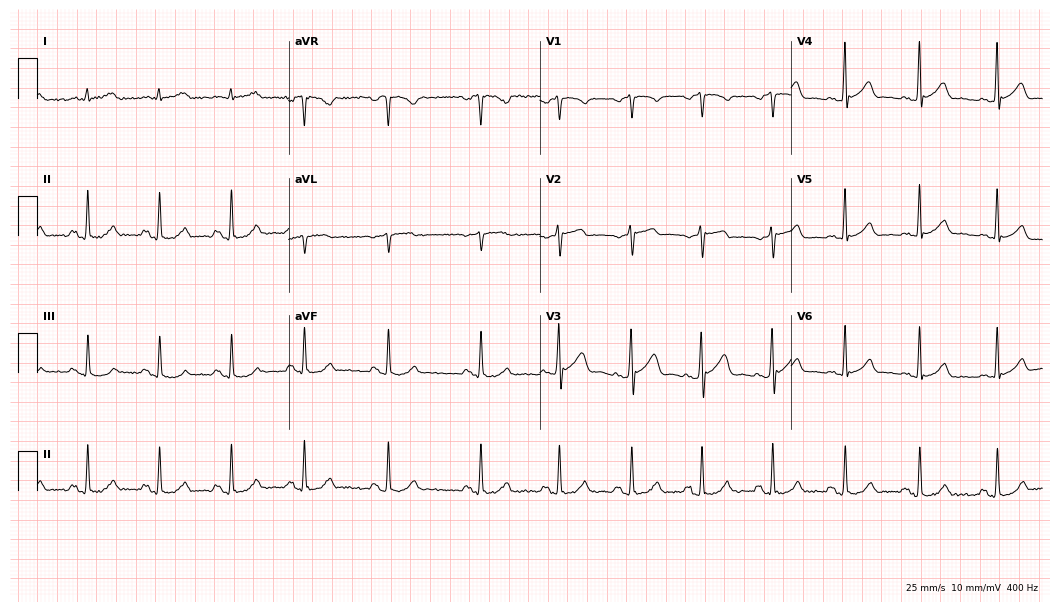
ECG — a male patient, 56 years old. Labelled as a normal ECG.